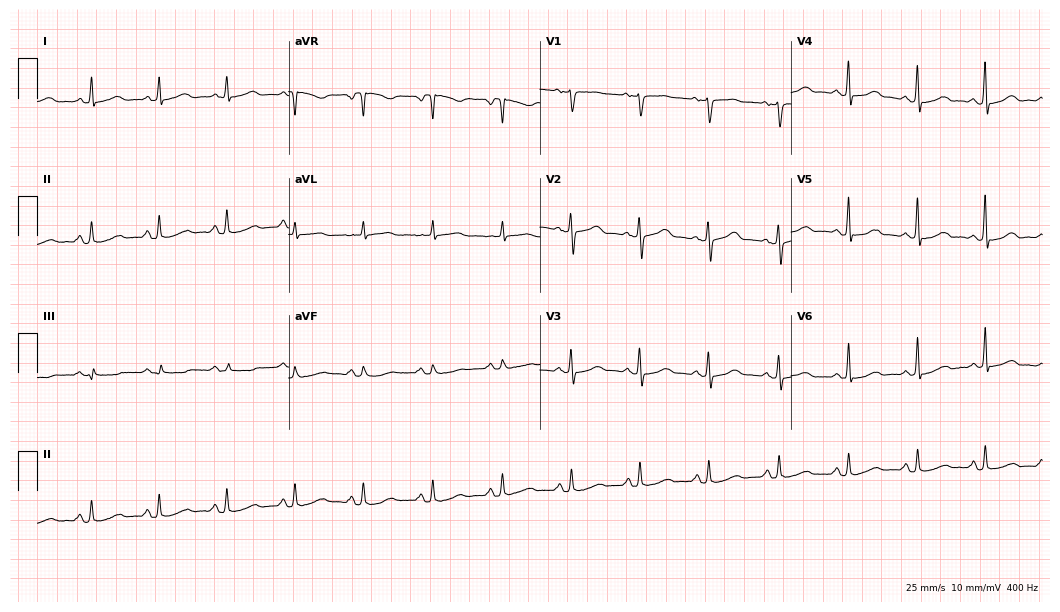
ECG — a female patient, 64 years old. Labelled as a normal ECG.